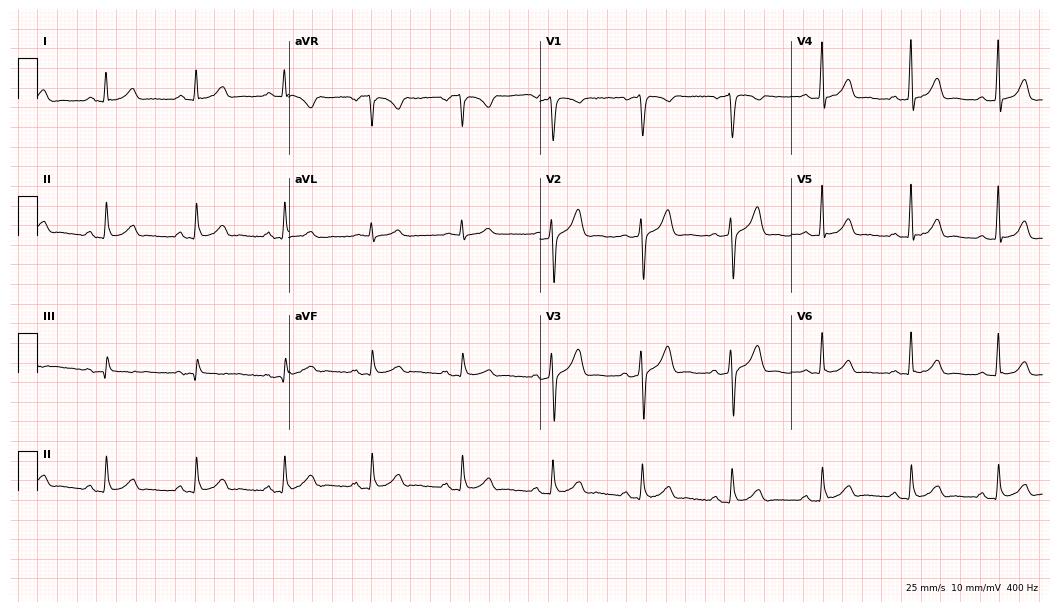
Standard 12-lead ECG recorded from a 43-year-old male (10.2-second recording at 400 Hz). Read as a normal ECG.